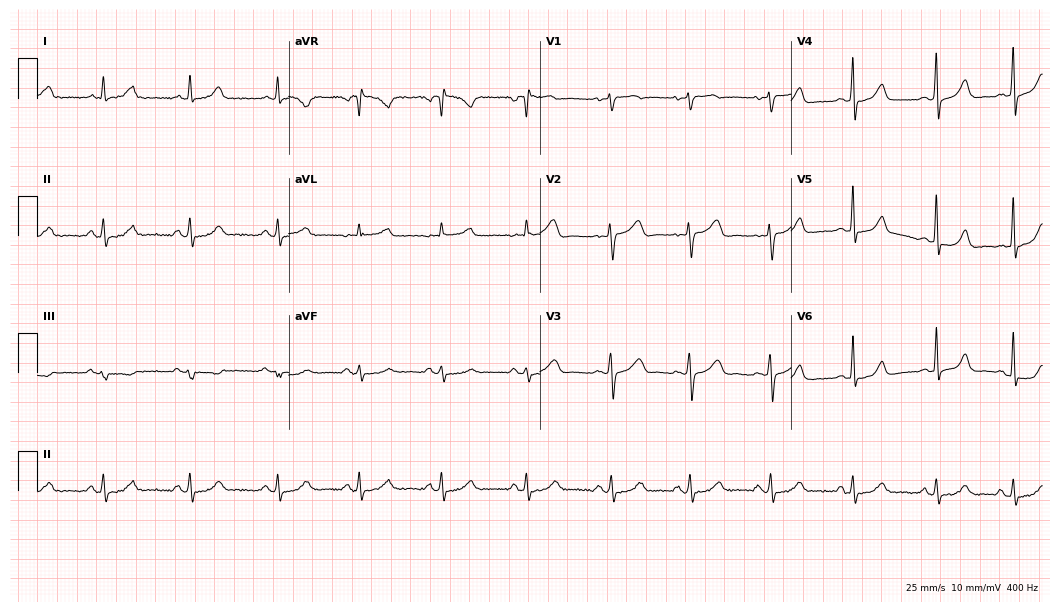
ECG — a 44-year-old female. Labelled as a normal ECG.